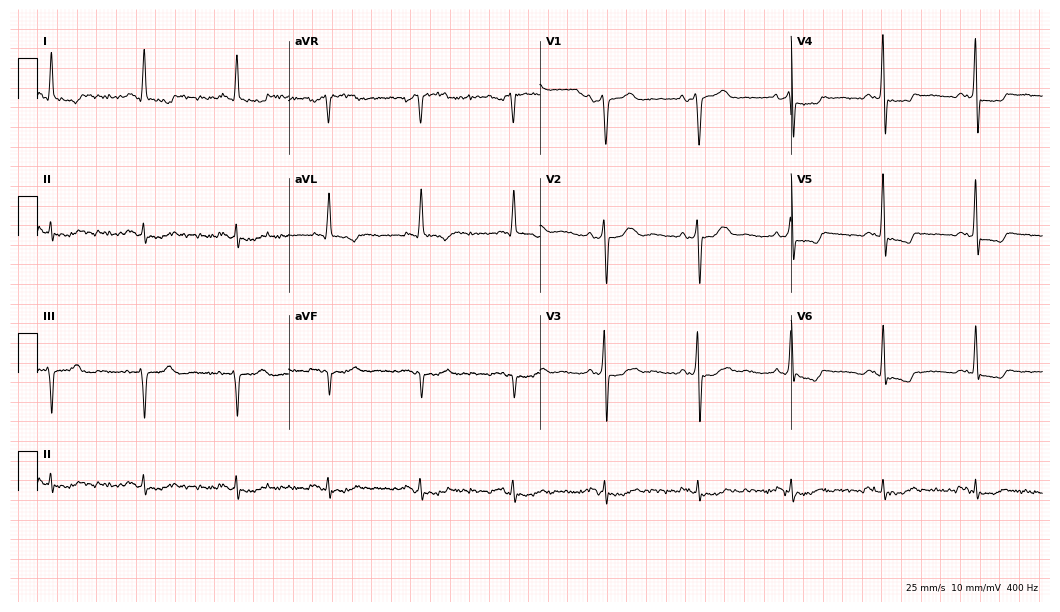
12-lead ECG (10.2-second recording at 400 Hz) from a 73-year-old man. Screened for six findings — first-degree AV block, right bundle branch block, left bundle branch block, sinus bradycardia, atrial fibrillation, sinus tachycardia — none is recorded. Only these six findings were labelled.